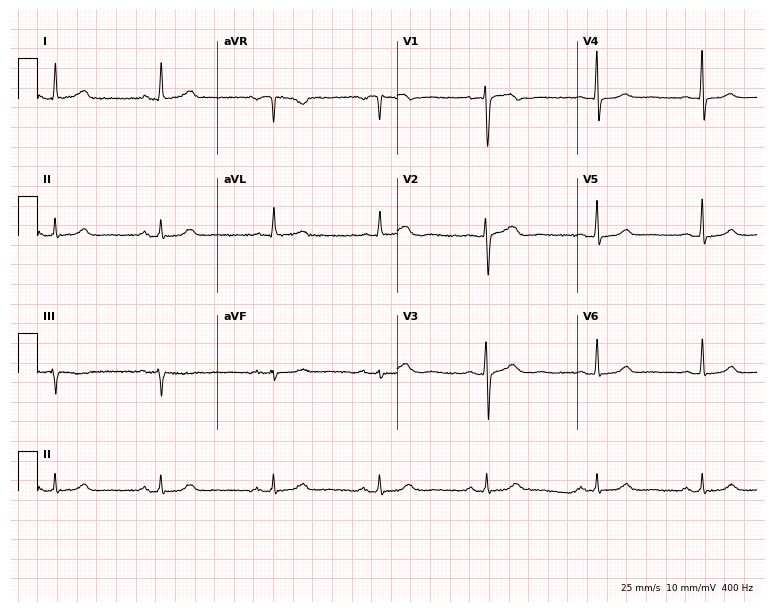
Standard 12-lead ECG recorded from a female, 54 years old (7.3-second recording at 400 Hz). Read as a normal ECG.